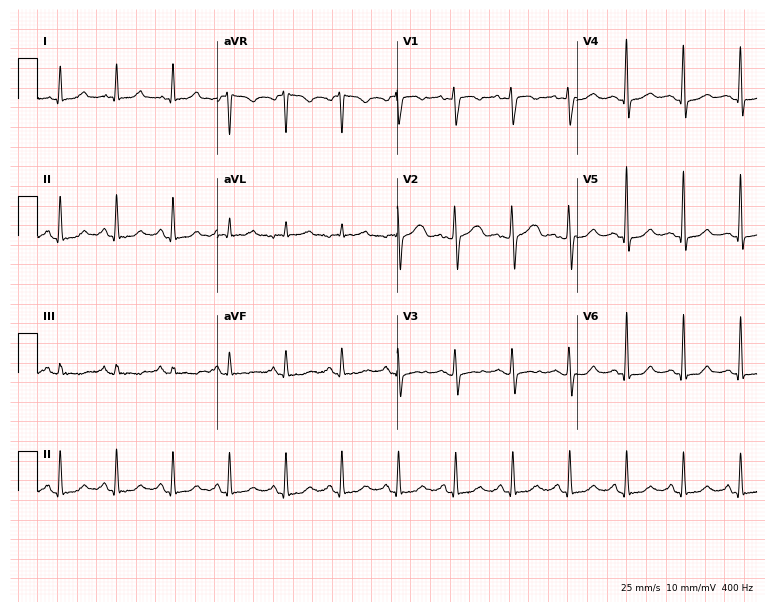
12-lead ECG from a 45-year-old woman. Shows sinus tachycardia (a sinus rate of 100 beats per minute or more).